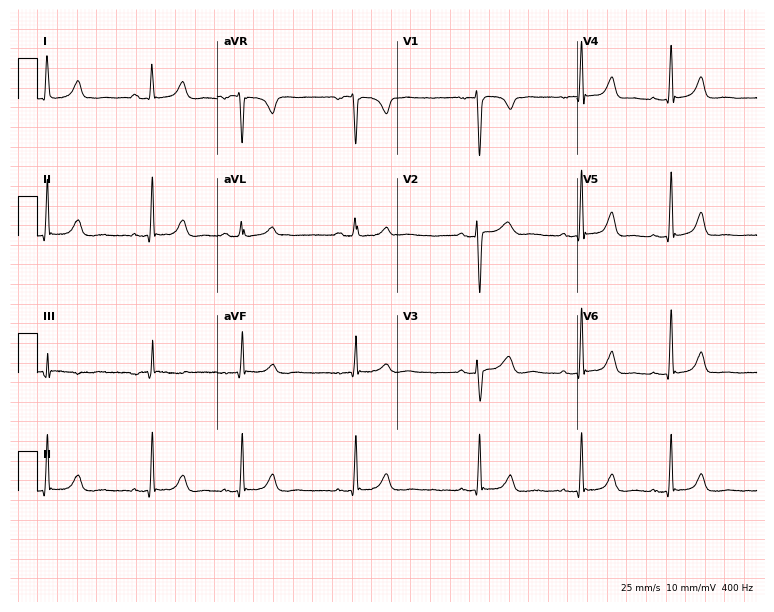
ECG — a 35-year-old female patient. Screened for six findings — first-degree AV block, right bundle branch block, left bundle branch block, sinus bradycardia, atrial fibrillation, sinus tachycardia — none is recorded. Other findings, if any, are not listed.